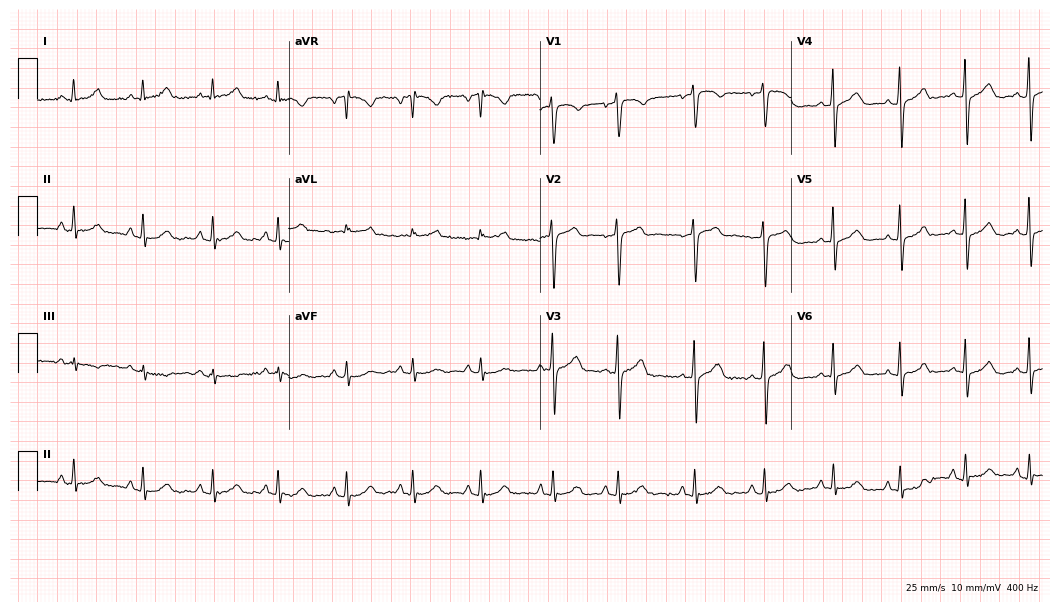
Standard 12-lead ECG recorded from a woman, 45 years old. Read as a normal ECG.